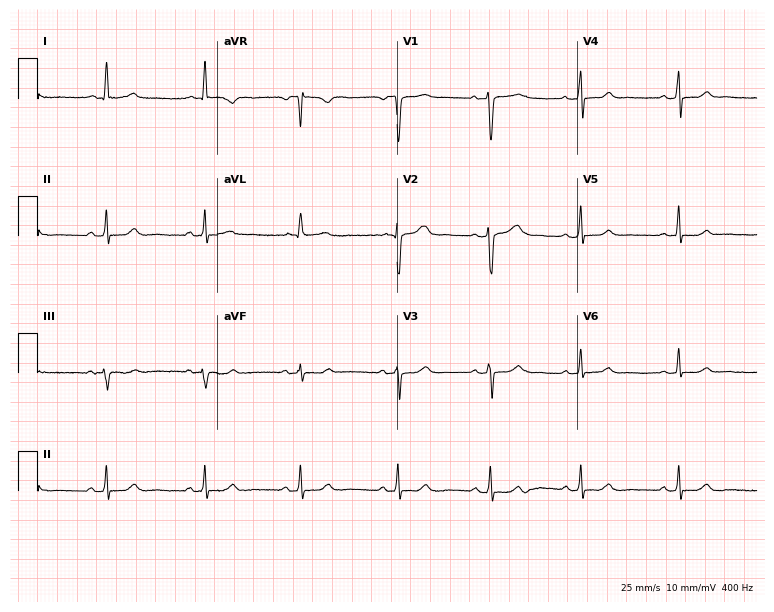
Electrocardiogram (7.3-second recording at 400 Hz), a 39-year-old female. Of the six screened findings (first-degree AV block, right bundle branch block, left bundle branch block, sinus bradycardia, atrial fibrillation, sinus tachycardia), none is recorded.